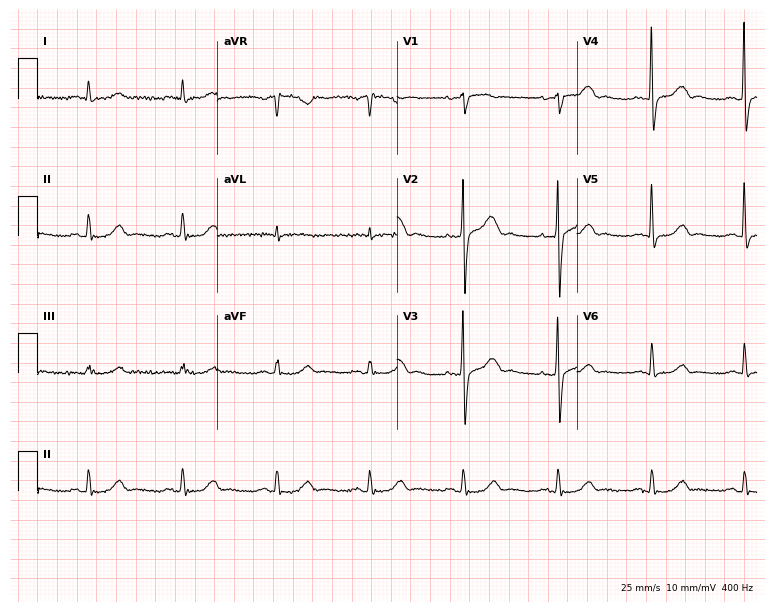
Electrocardiogram (7.3-second recording at 400 Hz), a male, 71 years old. Overall reading on record: normal ECG.